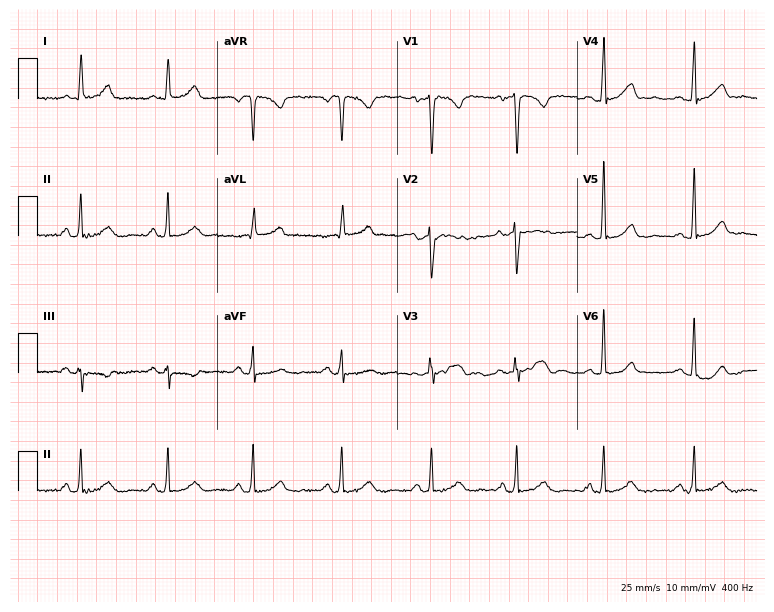
Standard 12-lead ECG recorded from a 46-year-old woman. None of these six findings is recorded: first-degree AV block, right bundle branch block (RBBB), left bundle branch block (LBBB), sinus bradycardia, atrial fibrillation (AF), sinus tachycardia. Findings outside these six are not listed.